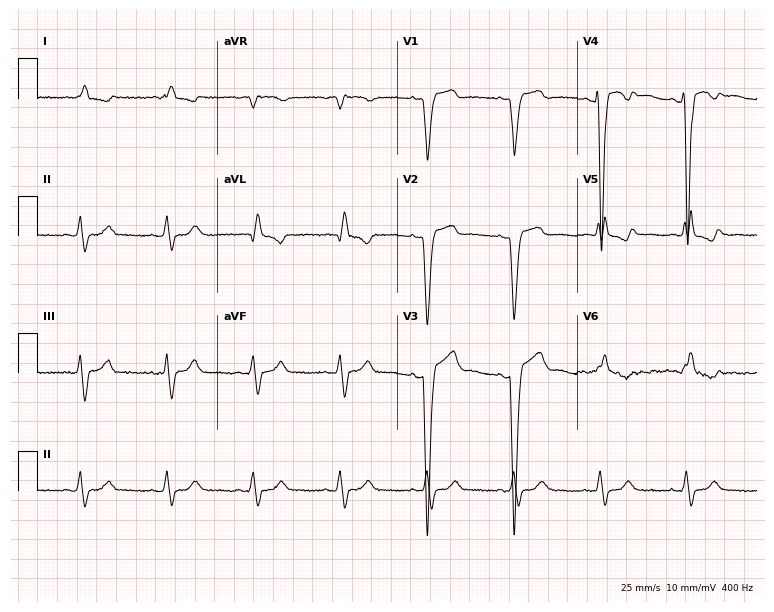
12-lead ECG from a woman, 83 years old. Findings include left bundle branch block.